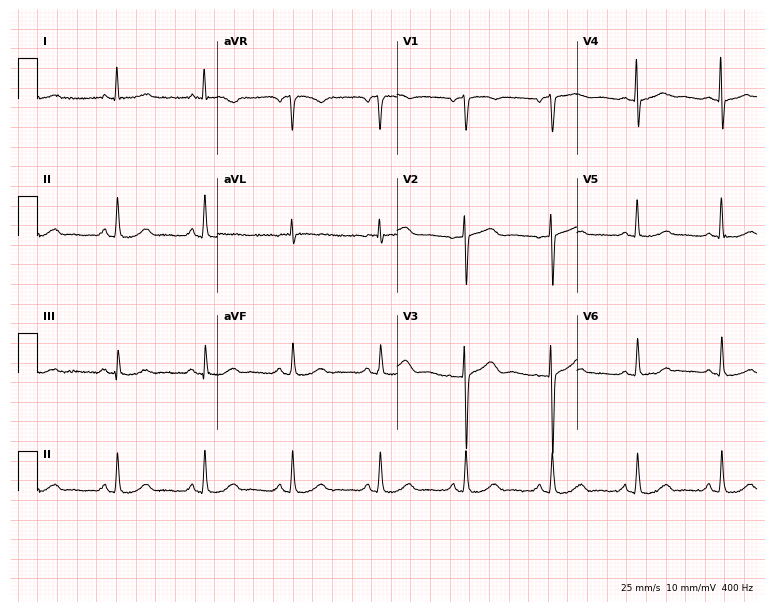
Standard 12-lead ECG recorded from a 63-year-old female patient (7.3-second recording at 400 Hz). Read as a normal ECG.